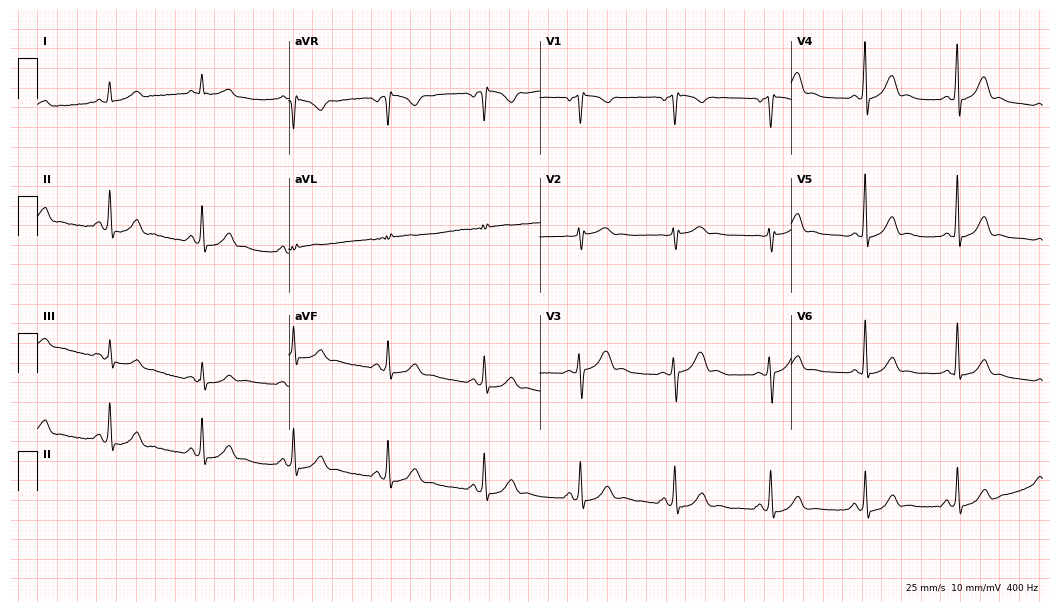
12-lead ECG from a 48-year-old man. Screened for six findings — first-degree AV block, right bundle branch block, left bundle branch block, sinus bradycardia, atrial fibrillation, sinus tachycardia — none is recorded.